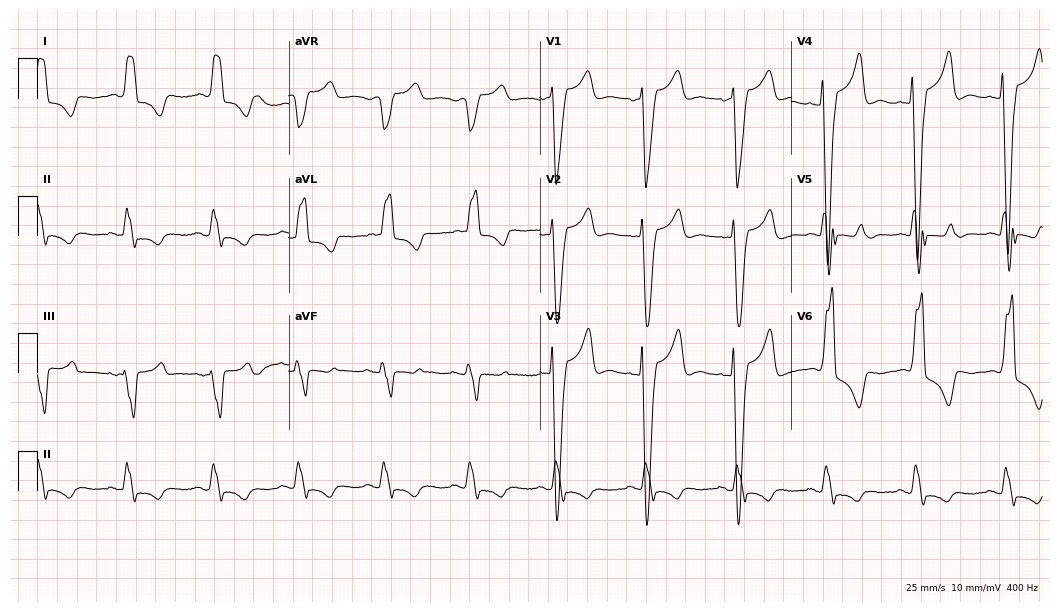
Resting 12-lead electrocardiogram (10.2-second recording at 400 Hz). Patient: a man, 78 years old. The tracing shows left bundle branch block.